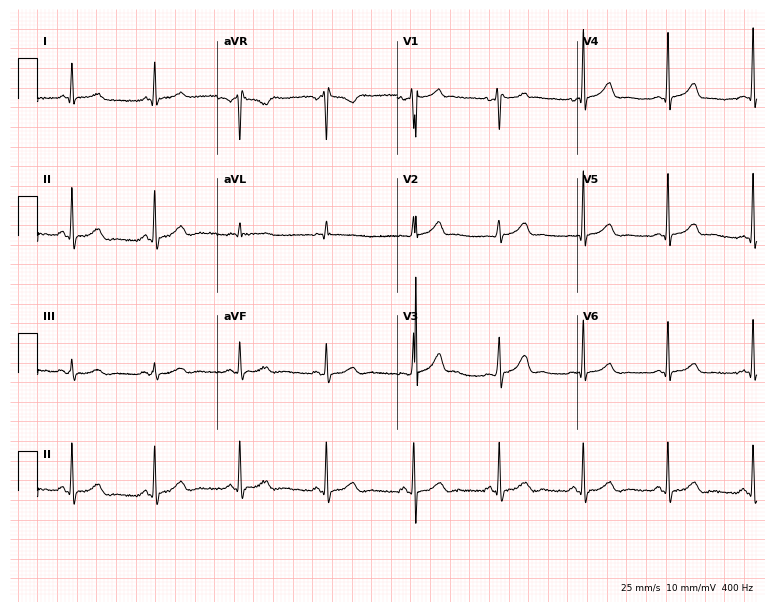
12-lead ECG (7.3-second recording at 400 Hz) from a 52-year-old woman. Labelled as a normal ECG.